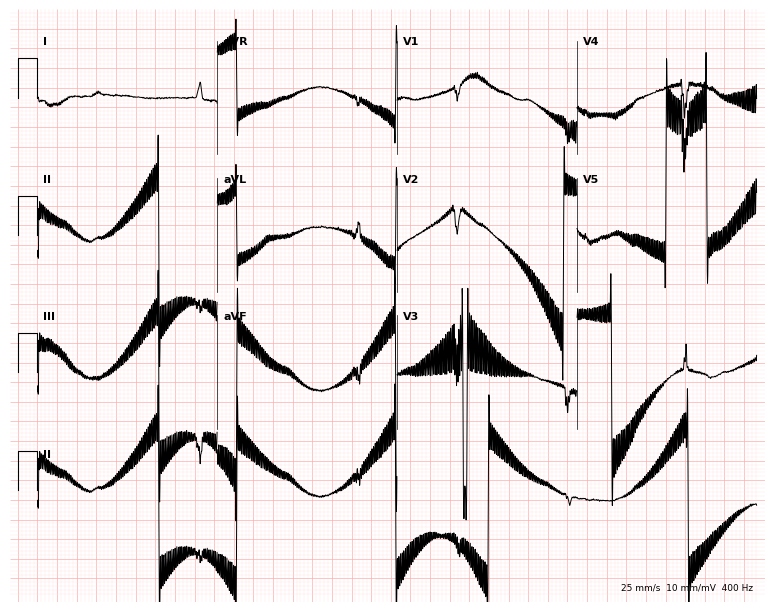
Resting 12-lead electrocardiogram (7.3-second recording at 400 Hz). Patient: a female, 73 years old. None of these six findings is recorded: first-degree AV block, right bundle branch block, left bundle branch block, sinus bradycardia, atrial fibrillation, sinus tachycardia. Only these six findings were labelled.